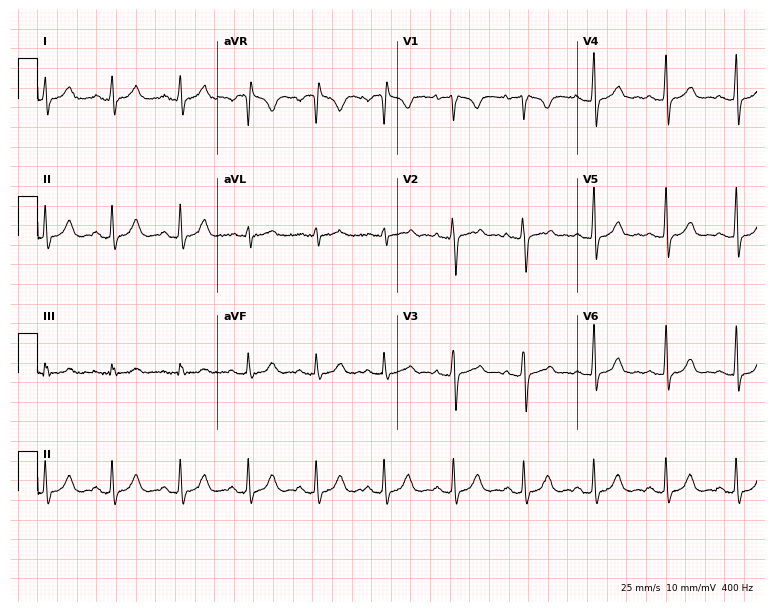
12-lead ECG (7.3-second recording at 400 Hz) from a female, 23 years old. Labelled as a normal ECG.